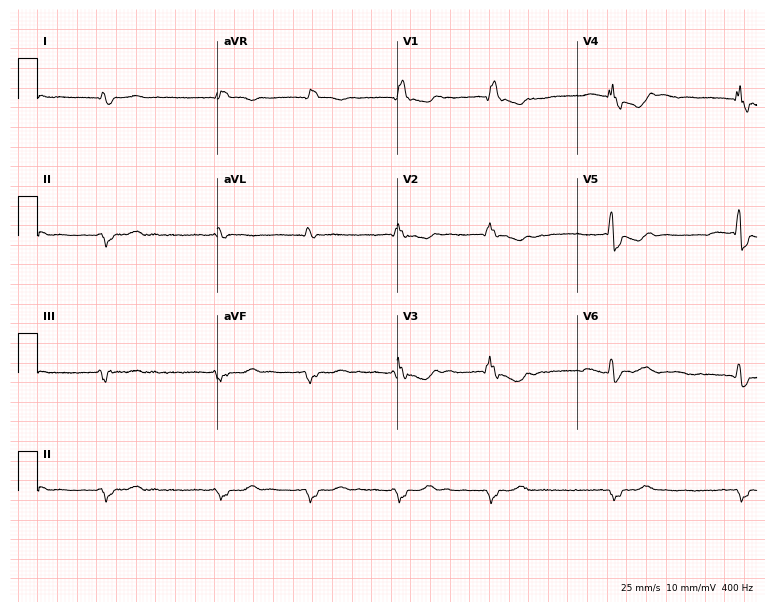
Resting 12-lead electrocardiogram (7.3-second recording at 400 Hz). Patient: a male, 75 years old. The tracing shows right bundle branch block, atrial fibrillation.